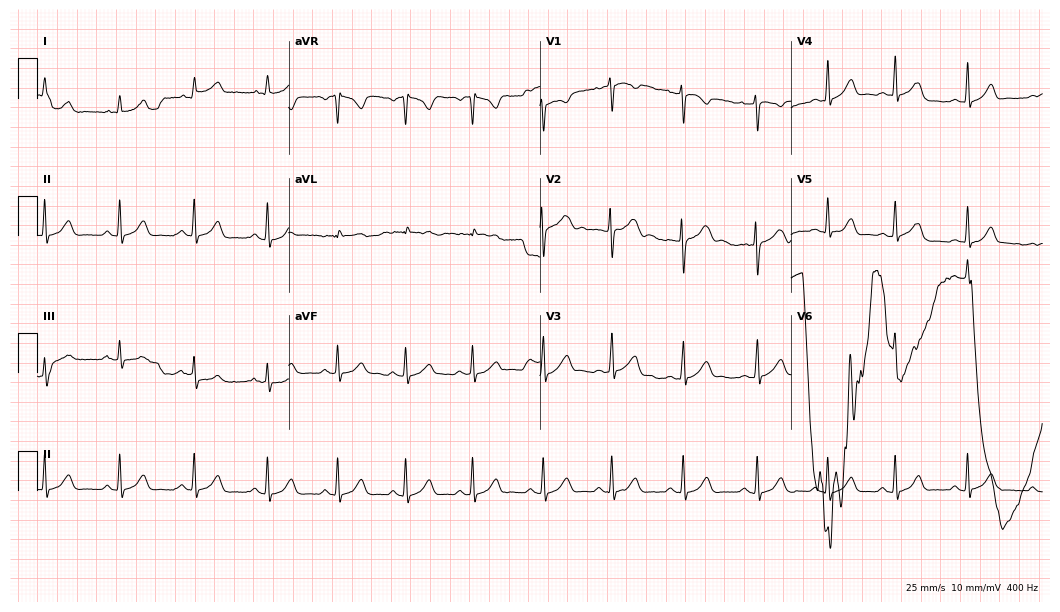
Resting 12-lead electrocardiogram. Patient: a 17-year-old female. Read as a normal ECG.